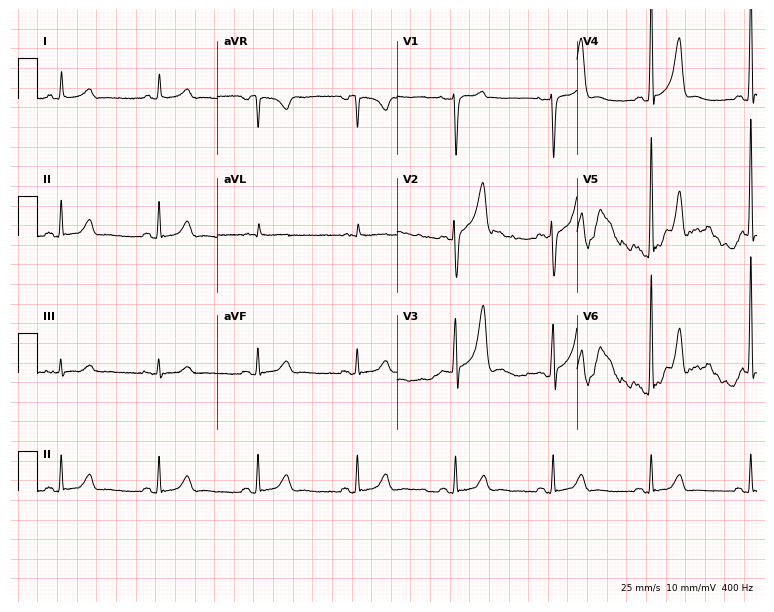
12-lead ECG from a male patient, 63 years old. Labelled as a normal ECG.